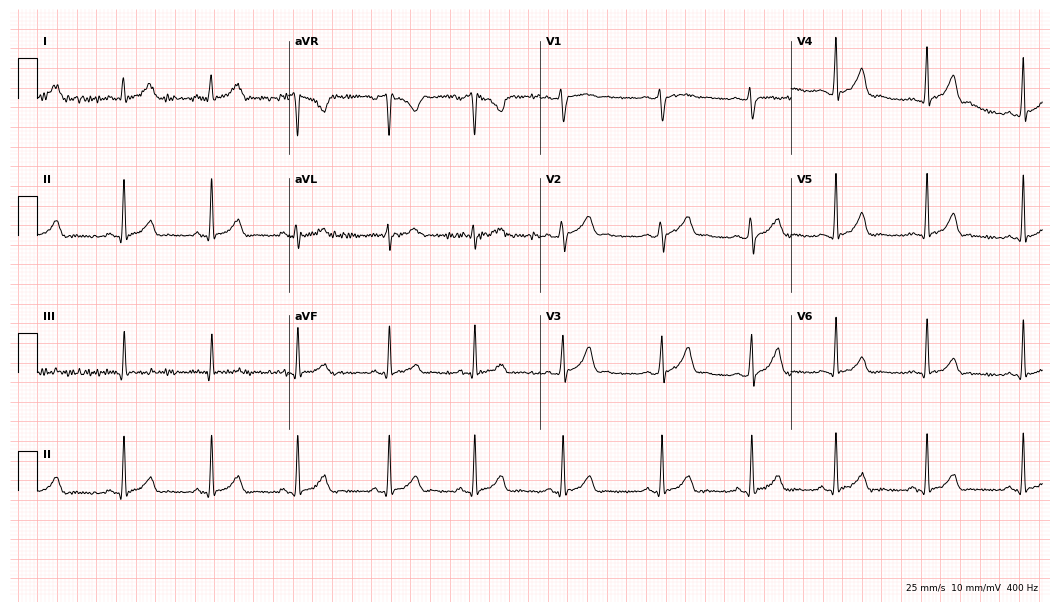
Standard 12-lead ECG recorded from a woman, 29 years old (10.2-second recording at 400 Hz). Read as a normal ECG.